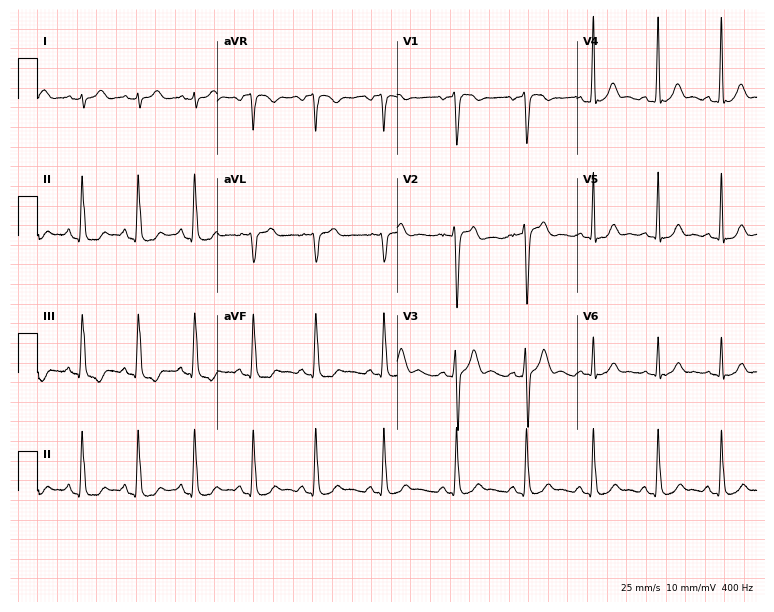
Resting 12-lead electrocardiogram. Patient: a 22-year-old male. None of these six findings is recorded: first-degree AV block, right bundle branch block, left bundle branch block, sinus bradycardia, atrial fibrillation, sinus tachycardia. Only these six findings were labelled.